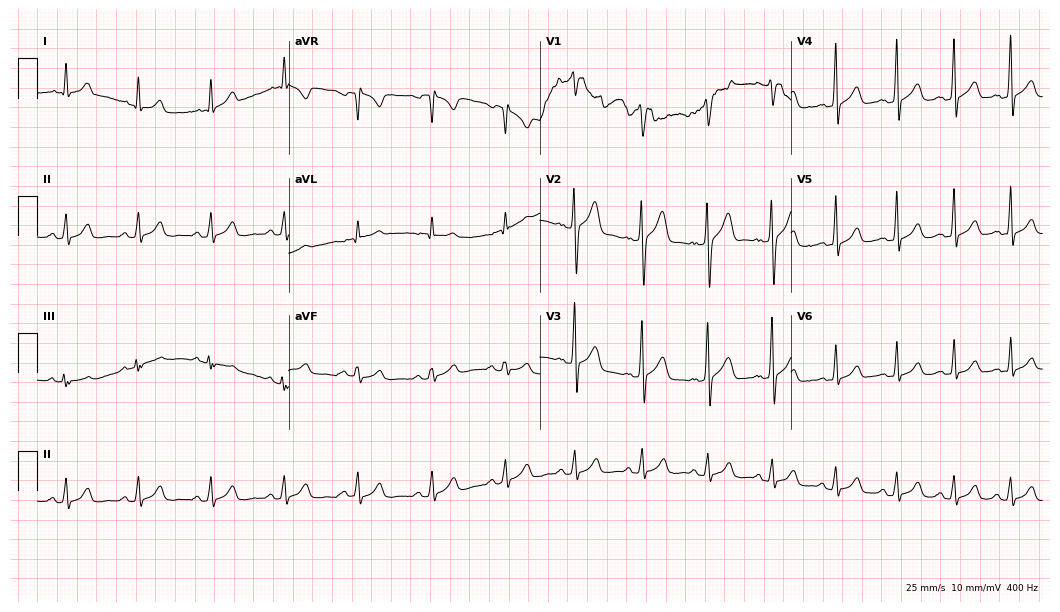
ECG (10.2-second recording at 400 Hz) — a 21-year-old man. Labelled as a normal ECG.